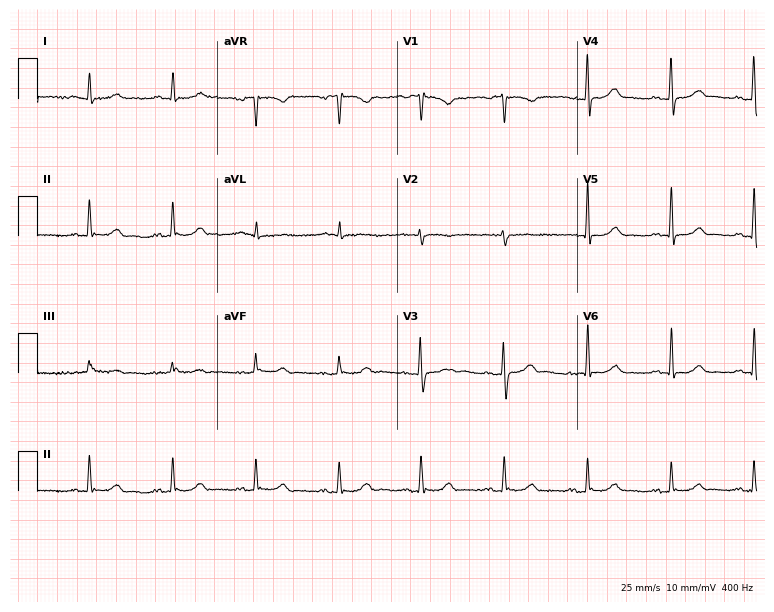
Standard 12-lead ECG recorded from a male patient, 84 years old. Read as a normal ECG.